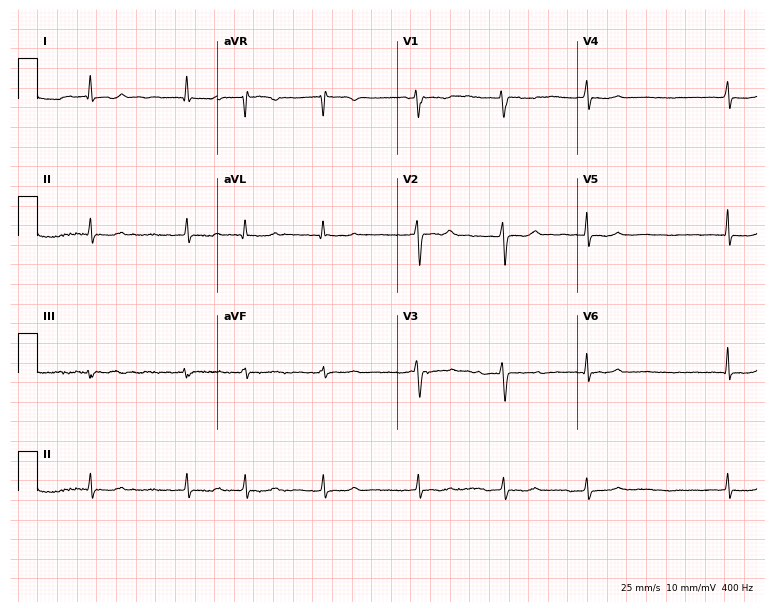
12-lead ECG from a female patient, 47 years old (7.3-second recording at 400 Hz). Shows atrial fibrillation.